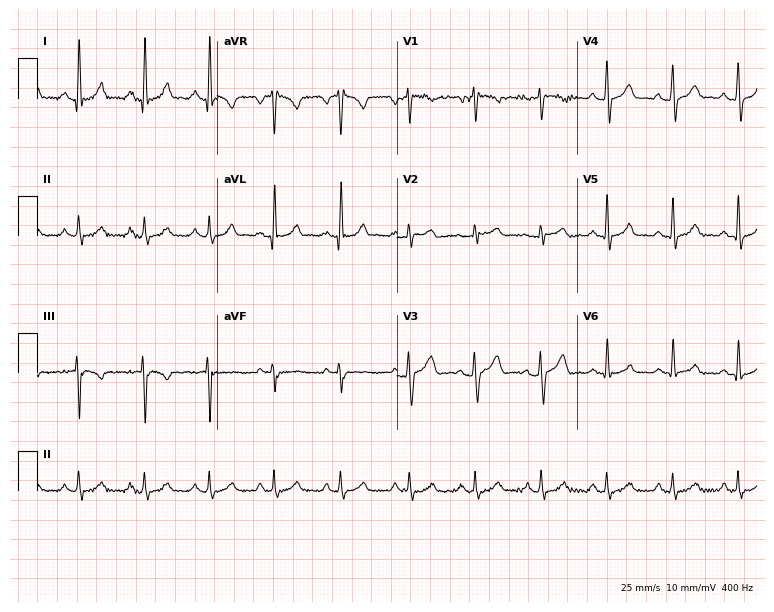
12-lead ECG from a woman, 24 years old (7.3-second recording at 400 Hz). Recorded interpretation: within normal limits.